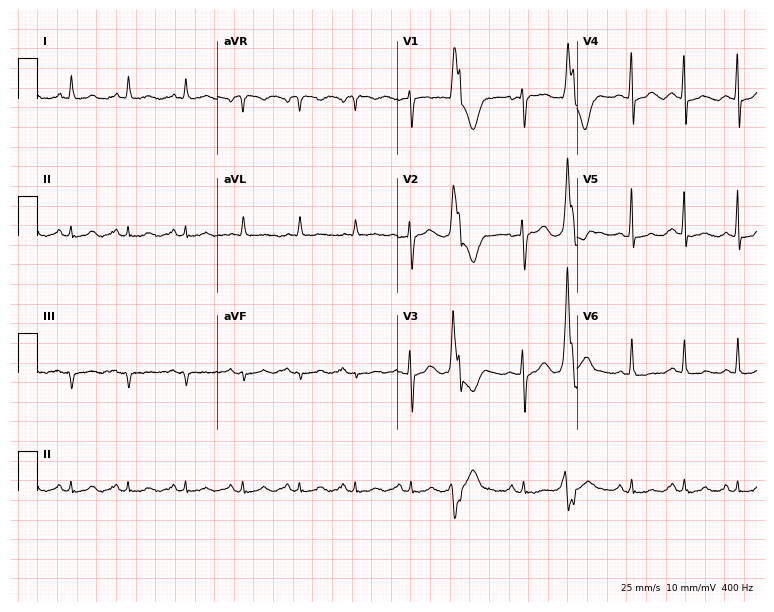
Resting 12-lead electrocardiogram. Patient: a woman, 51 years old. The tracing shows sinus tachycardia (a sinus rate of 100 beats per minute or more).